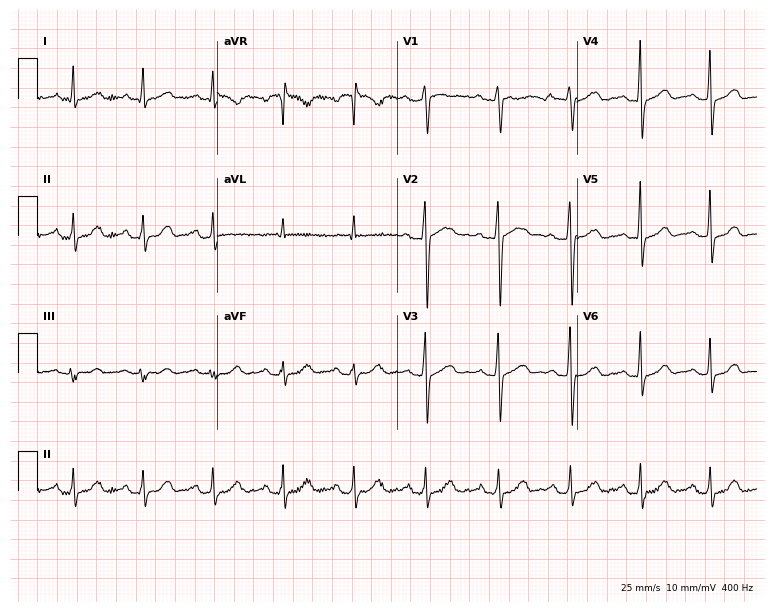
Standard 12-lead ECG recorded from a 56-year-old female. Read as a normal ECG.